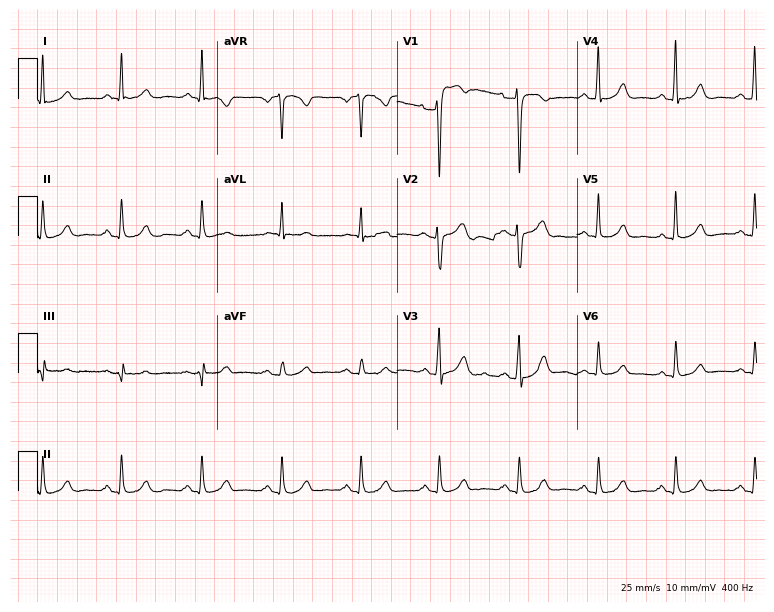
Resting 12-lead electrocardiogram. Patient: a man, 55 years old. Read as a normal ECG.